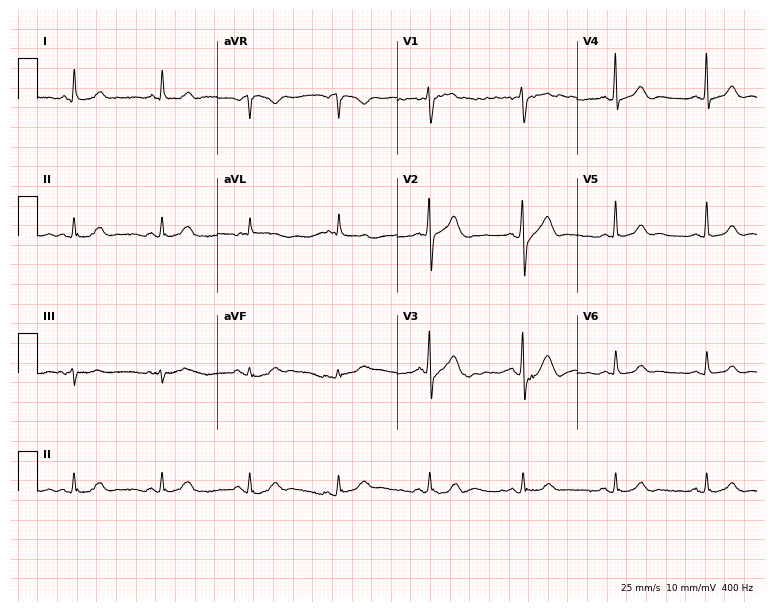
12-lead ECG from a 64-year-old male patient. Recorded interpretation: within normal limits.